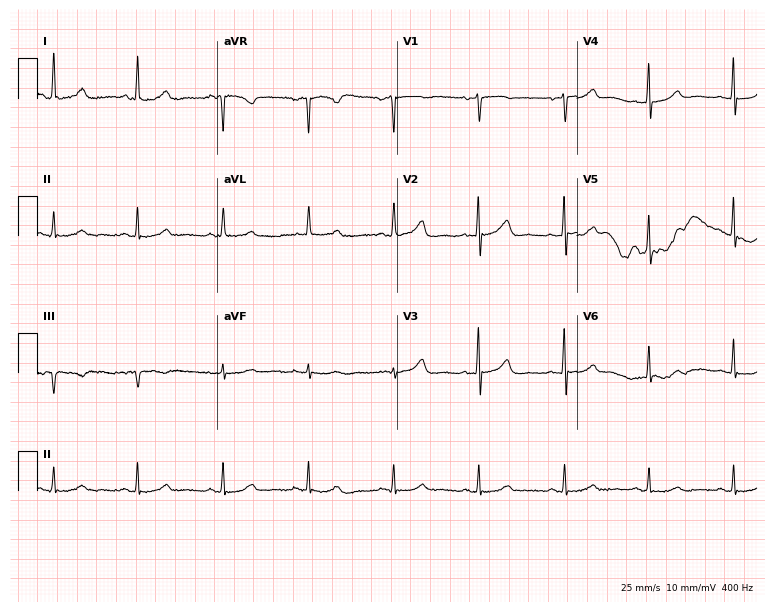
Electrocardiogram (7.3-second recording at 400 Hz), a 69-year-old female. Of the six screened findings (first-degree AV block, right bundle branch block, left bundle branch block, sinus bradycardia, atrial fibrillation, sinus tachycardia), none is recorded.